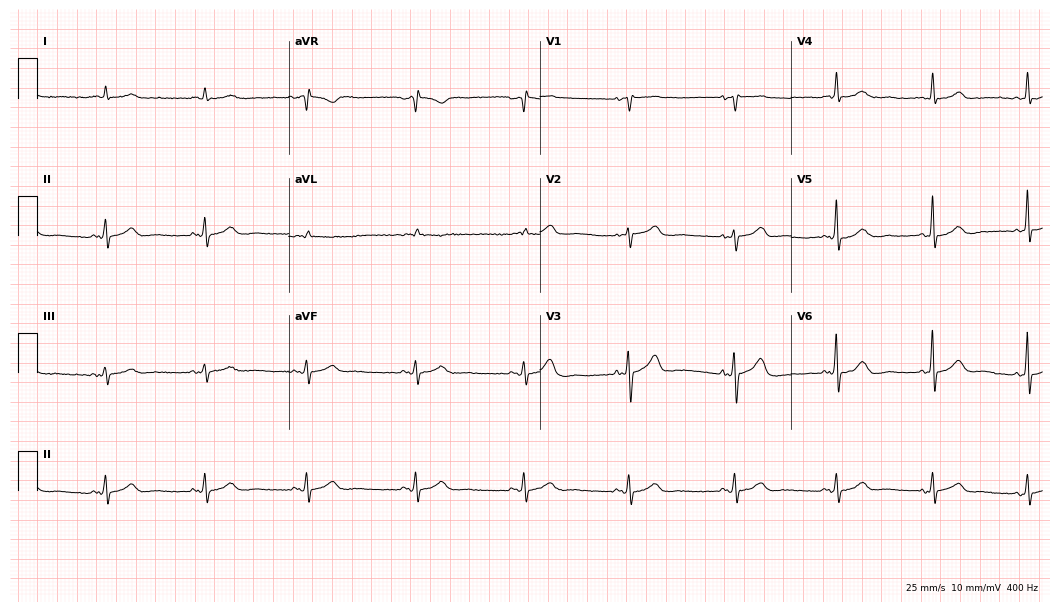
Standard 12-lead ECG recorded from an 84-year-old male patient. None of these six findings is recorded: first-degree AV block, right bundle branch block, left bundle branch block, sinus bradycardia, atrial fibrillation, sinus tachycardia. Findings outside these six are not listed.